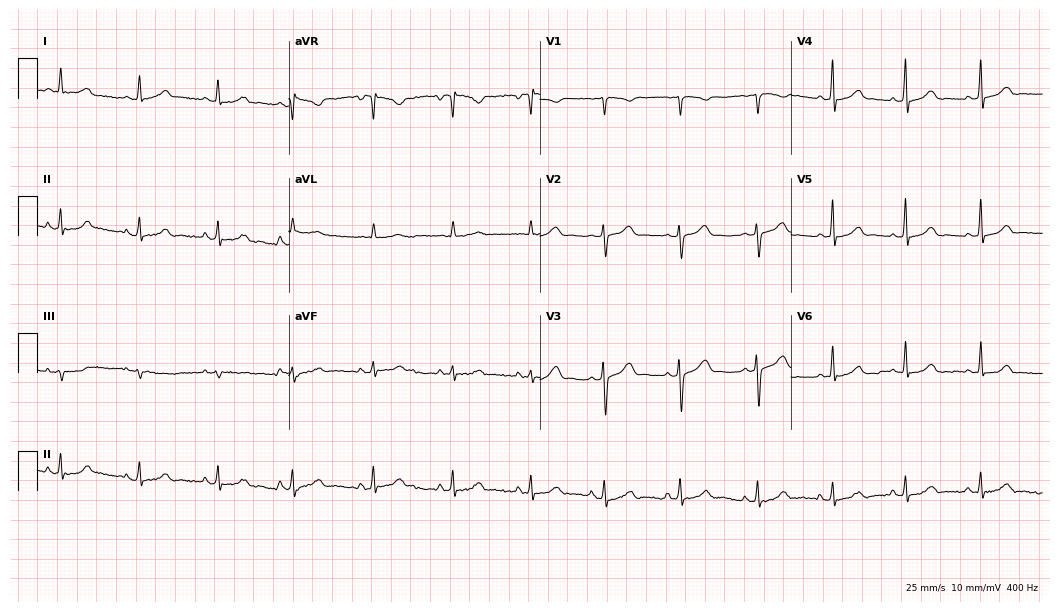
Electrocardiogram, a 32-year-old woman. Overall reading on record: normal ECG.